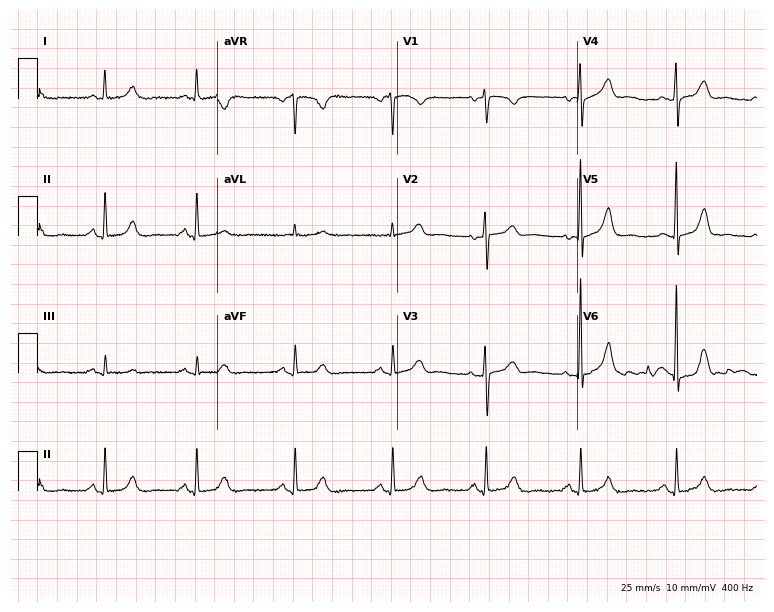
12-lead ECG from a female, 83 years old. Labelled as a normal ECG.